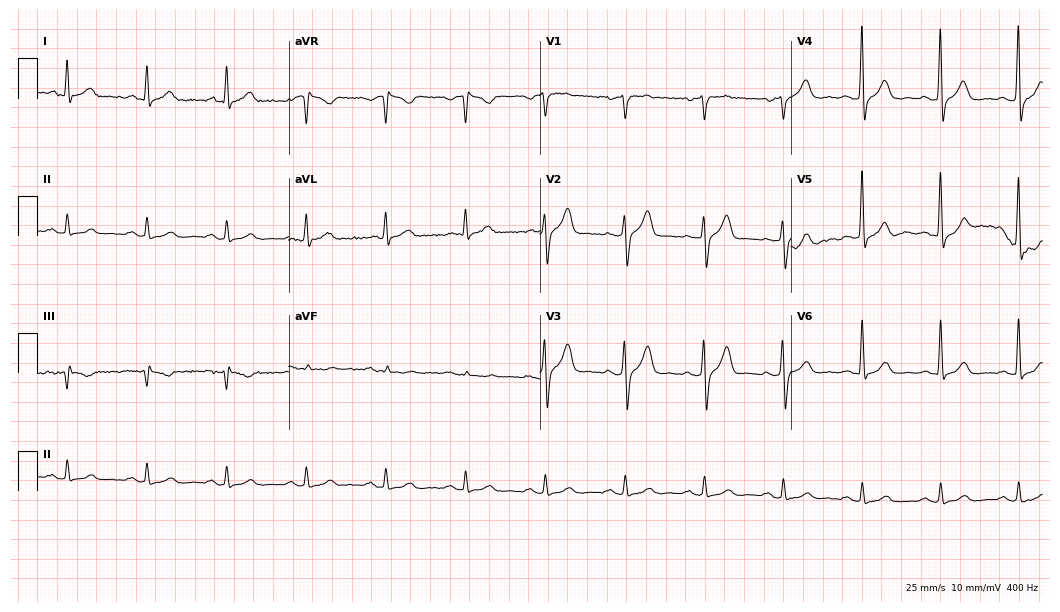
12-lead ECG from a 64-year-old male patient. Labelled as a normal ECG.